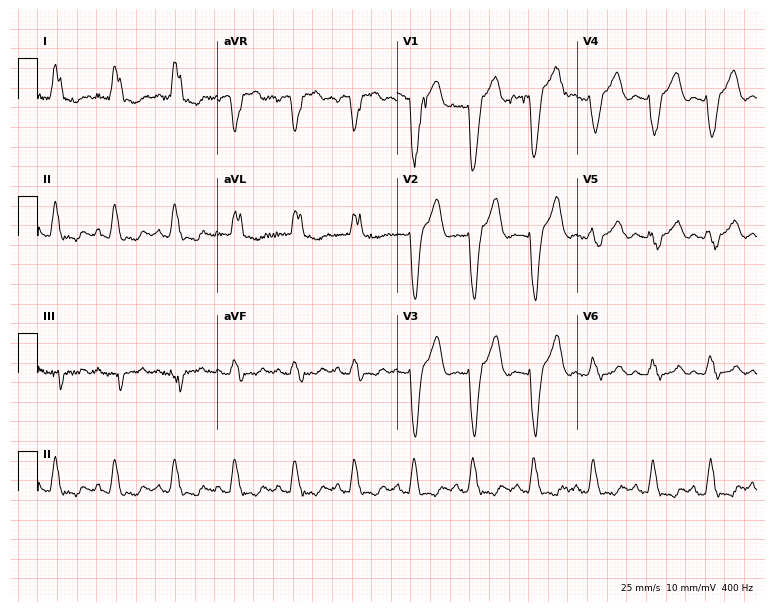
Electrocardiogram (7.3-second recording at 400 Hz), a woman, 59 years old. Interpretation includes left bundle branch block (LBBB).